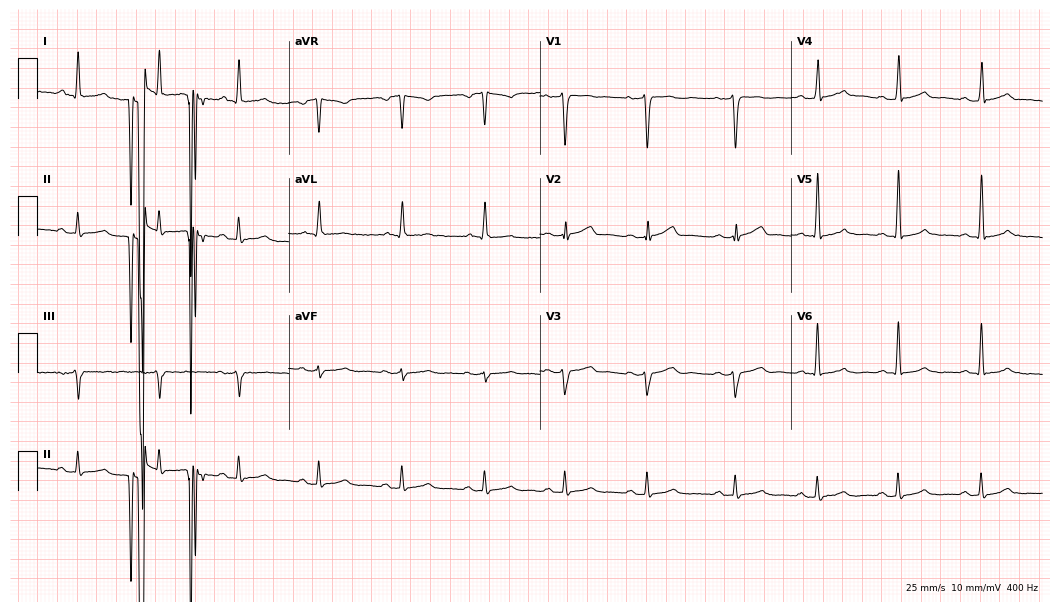
12-lead ECG from a male, 50 years old (10.2-second recording at 400 Hz). No first-degree AV block, right bundle branch block, left bundle branch block, sinus bradycardia, atrial fibrillation or sinus tachycardia recorded for this tracing. Only these six findings were labelled.